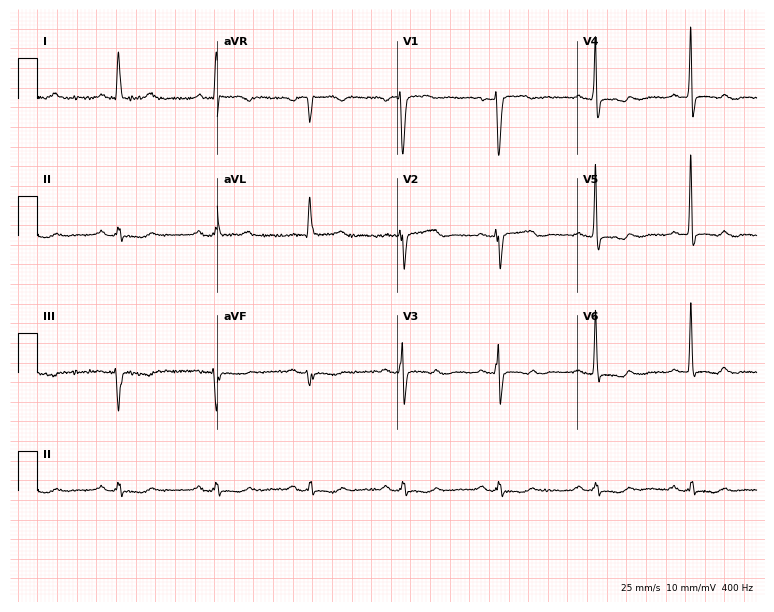
ECG (7.3-second recording at 400 Hz) — a 58-year-old female patient. Screened for six findings — first-degree AV block, right bundle branch block, left bundle branch block, sinus bradycardia, atrial fibrillation, sinus tachycardia — none is recorded.